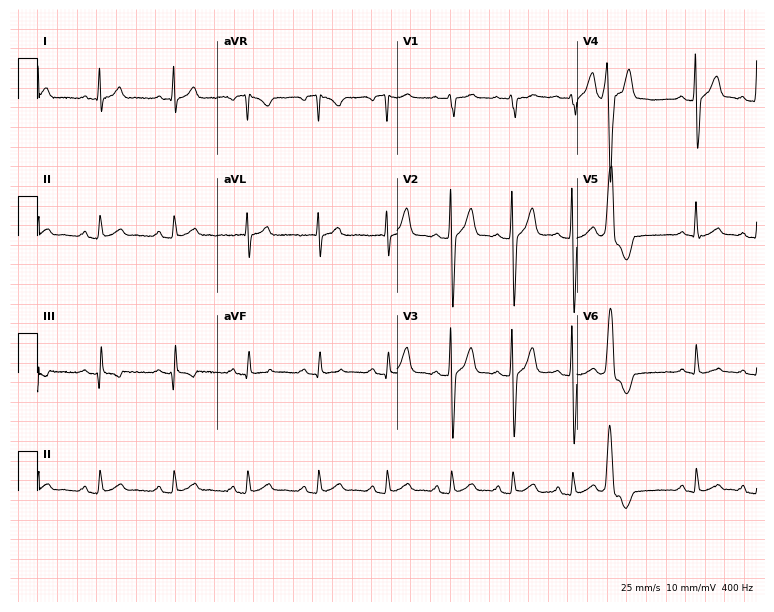
Electrocardiogram, a male patient, 44 years old. Of the six screened findings (first-degree AV block, right bundle branch block (RBBB), left bundle branch block (LBBB), sinus bradycardia, atrial fibrillation (AF), sinus tachycardia), none is recorded.